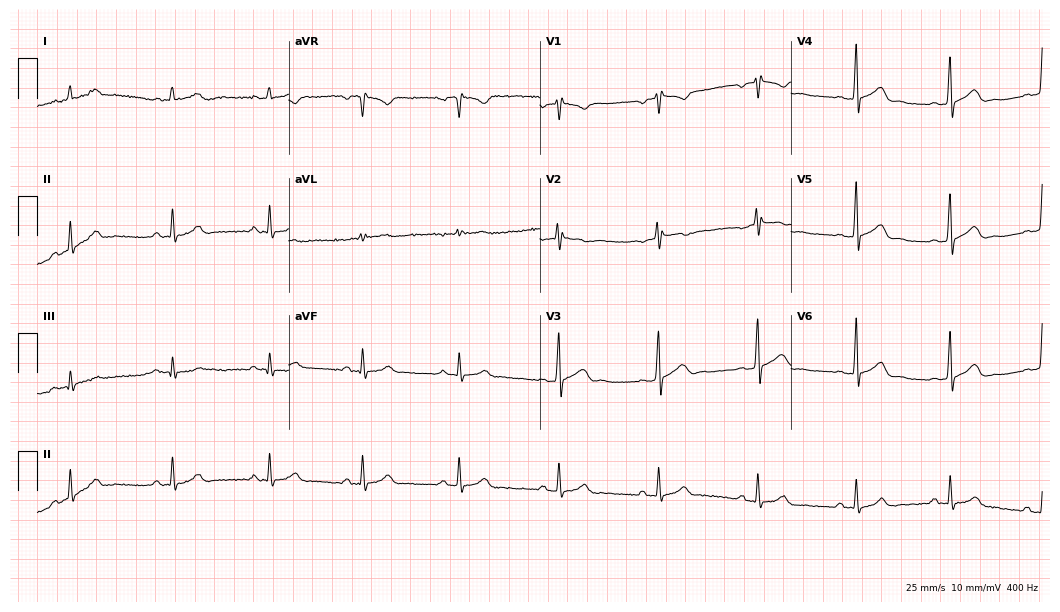
Electrocardiogram, a man, 27 years old. Overall reading on record: normal ECG.